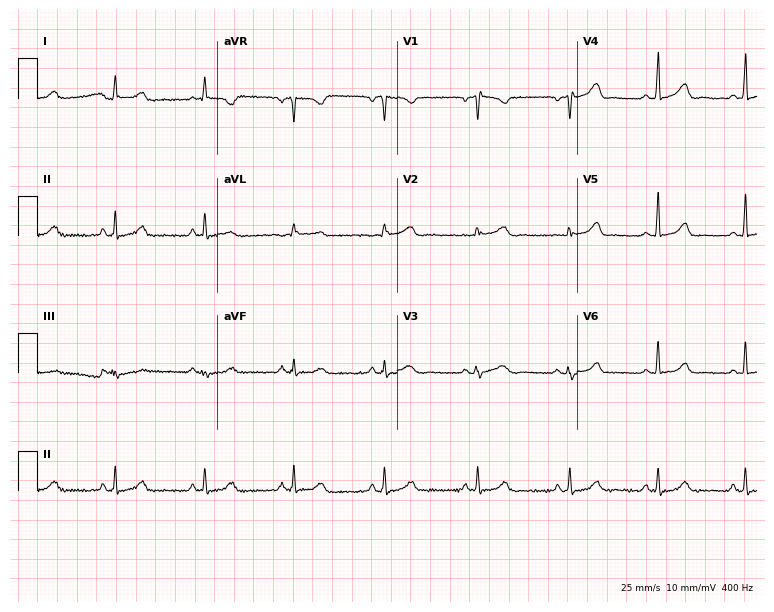
Resting 12-lead electrocardiogram. Patient: a woman, 37 years old. None of these six findings is recorded: first-degree AV block, right bundle branch block (RBBB), left bundle branch block (LBBB), sinus bradycardia, atrial fibrillation (AF), sinus tachycardia.